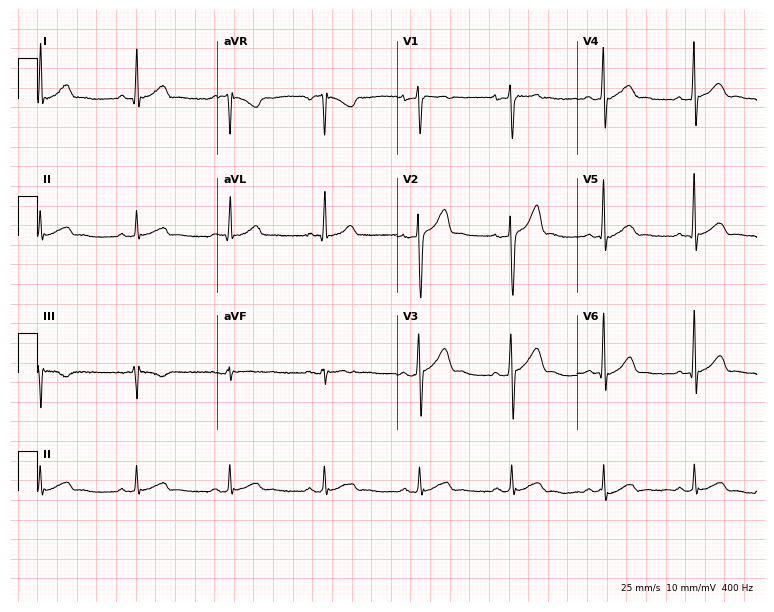
12-lead ECG from a 33-year-old male patient. Recorded interpretation: within normal limits.